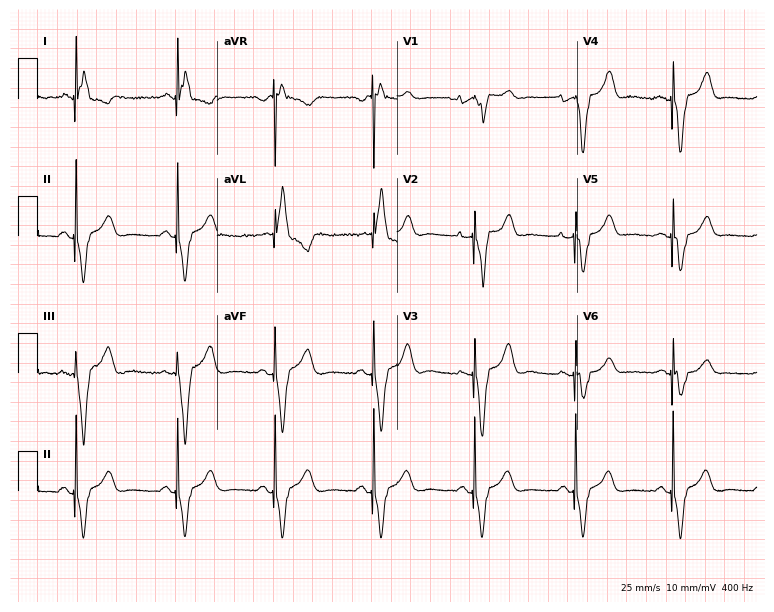
12-lead ECG from a woman, 54 years old. No first-degree AV block, right bundle branch block, left bundle branch block, sinus bradycardia, atrial fibrillation or sinus tachycardia recorded for this tracing.